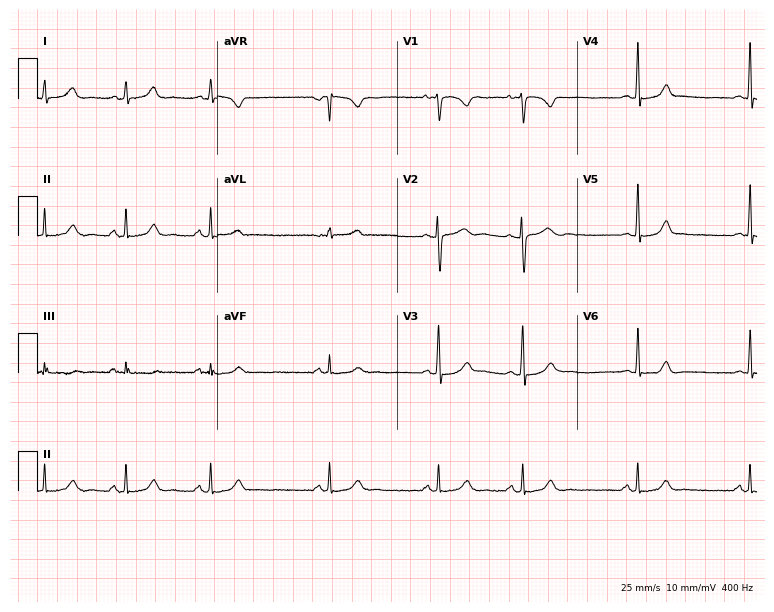
Electrocardiogram (7.3-second recording at 400 Hz), a 23-year-old female. Overall reading on record: normal ECG.